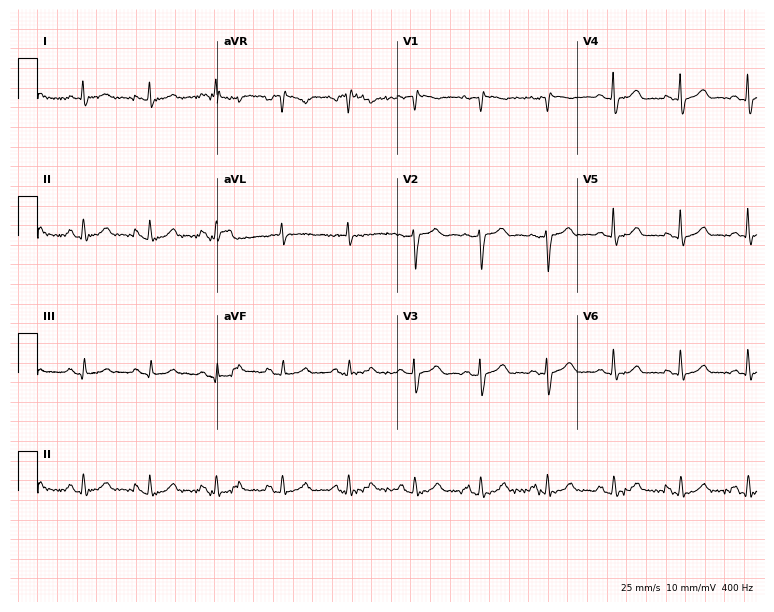
12-lead ECG from a 71-year-old man. Recorded interpretation: within normal limits.